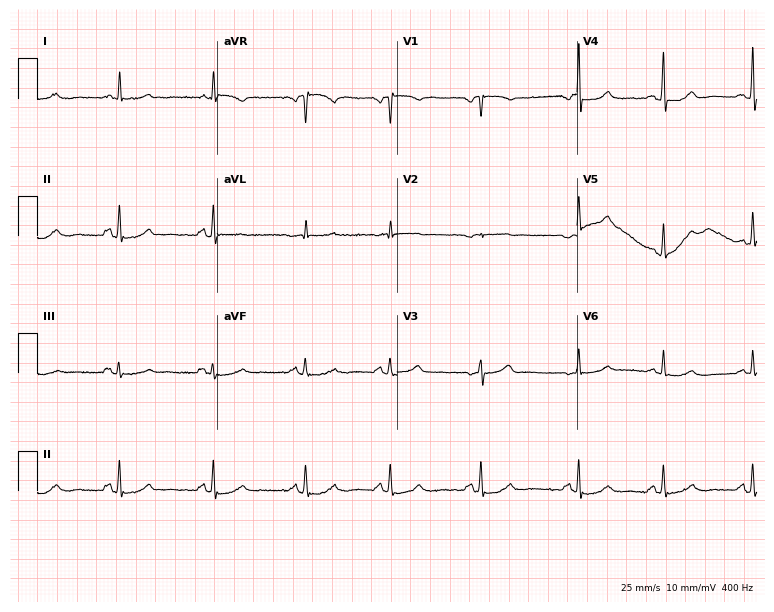
12-lead ECG (7.3-second recording at 400 Hz) from a woman, 83 years old. Labelled as a normal ECG.